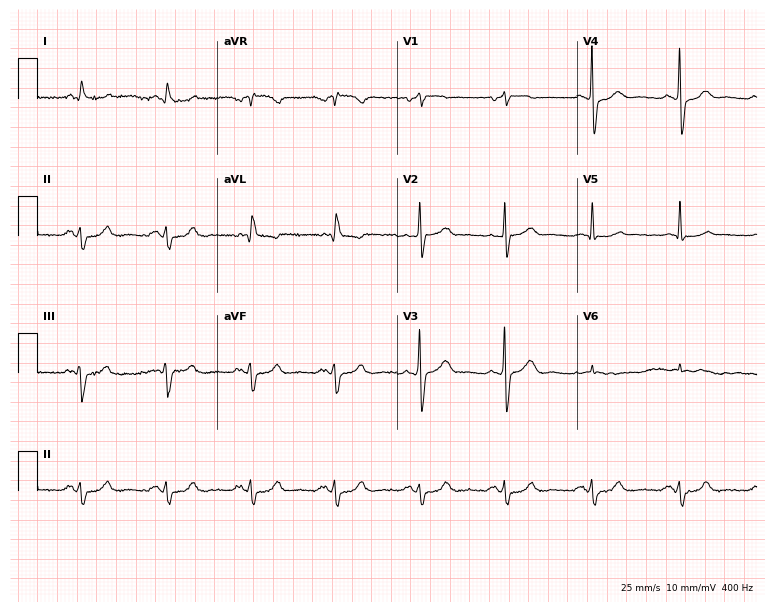
ECG (7.3-second recording at 400 Hz) — a 64-year-old man. Labelled as a normal ECG.